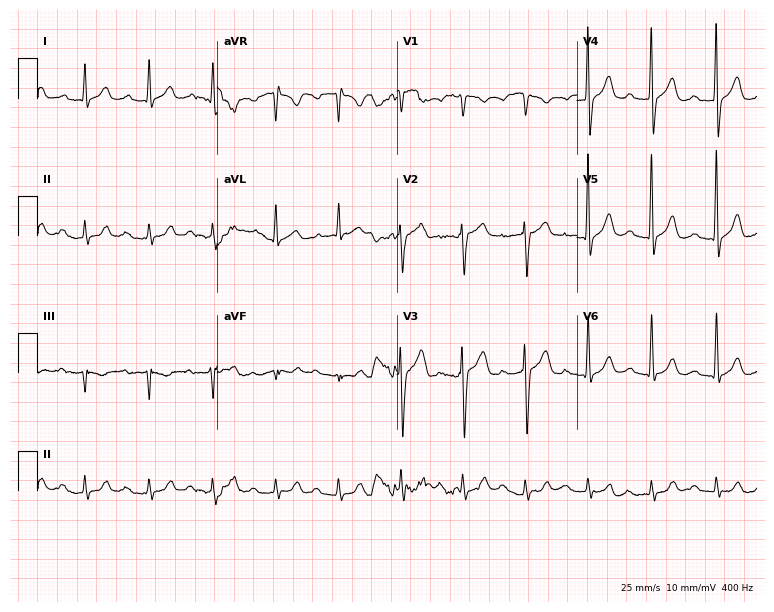
12-lead ECG from a male, 57 years old. No first-degree AV block, right bundle branch block (RBBB), left bundle branch block (LBBB), sinus bradycardia, atrial fibrillation (AF) or sinus tachycardia recorded for this tracing.